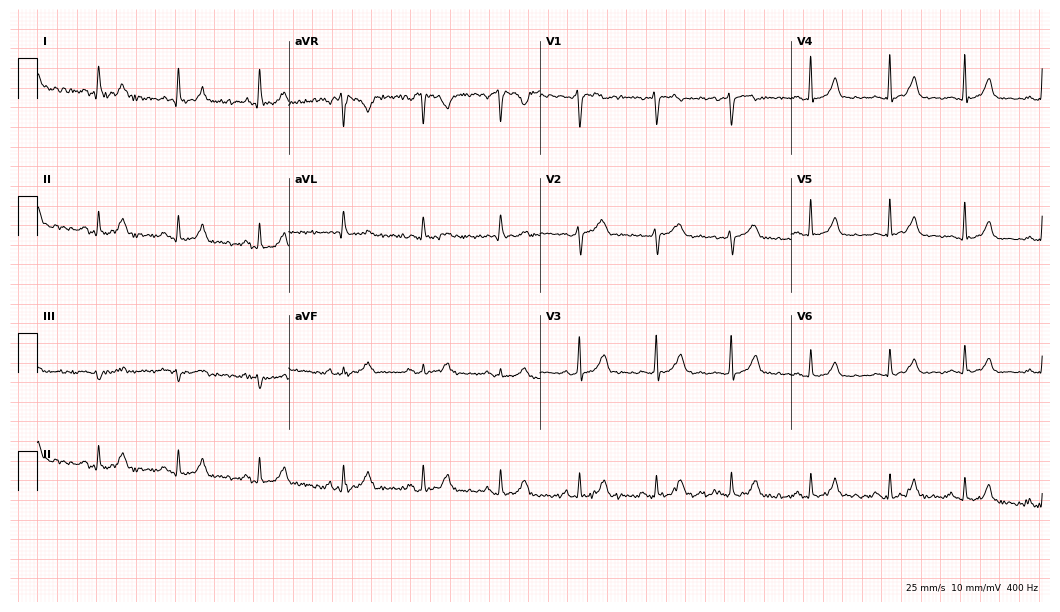
12-lead ECG (10.2-second recording at 400 Hz) from a woman, 46 years old. Screened for six findings — first-degree AV block, right bundle branch block (RBBB), left bundle branch block (LBBB), sinus bradycardia, atrial fibrillation (AF), sinus tachycardia — none is recorded. Findings outside these six are not listed.